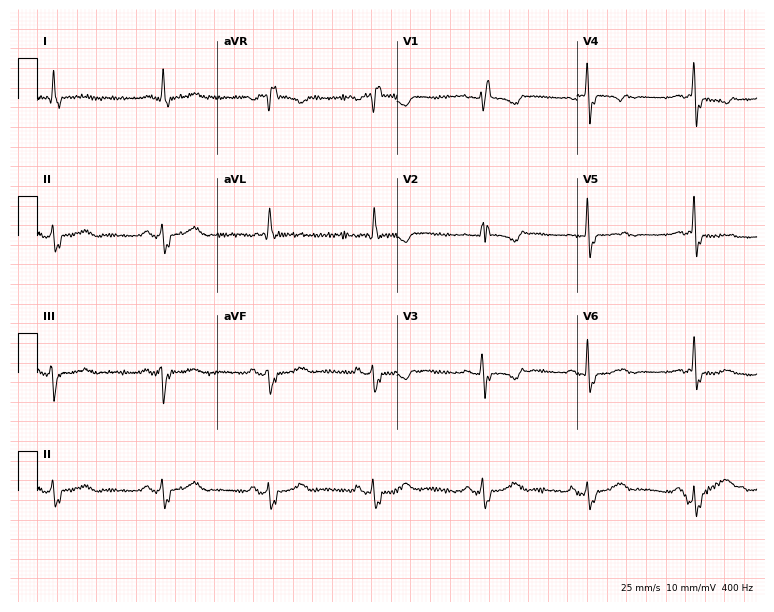
12-lead ECG from a woman, 83 years old (7.3-second recording at 400 Hz). Shows right bundle branch block.